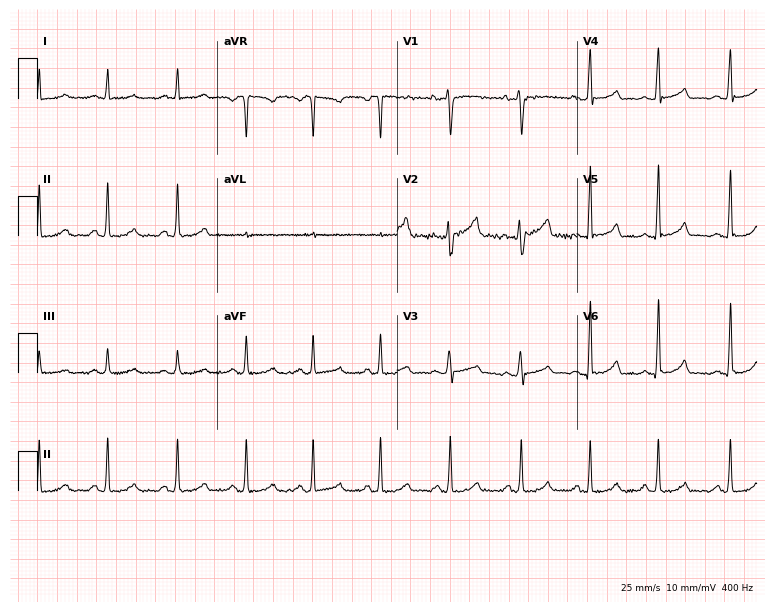
Standard 12-lead ECG recorded from a 40-year-old female (7.3-second recording at 400 Hz). None of these six findings is recorded: first-degree AV block, right bundle branch block, left bundle branch block, sinus bradycardia, atrial fibrillation, sinus tachycardia. Findings outside these six are not listed.